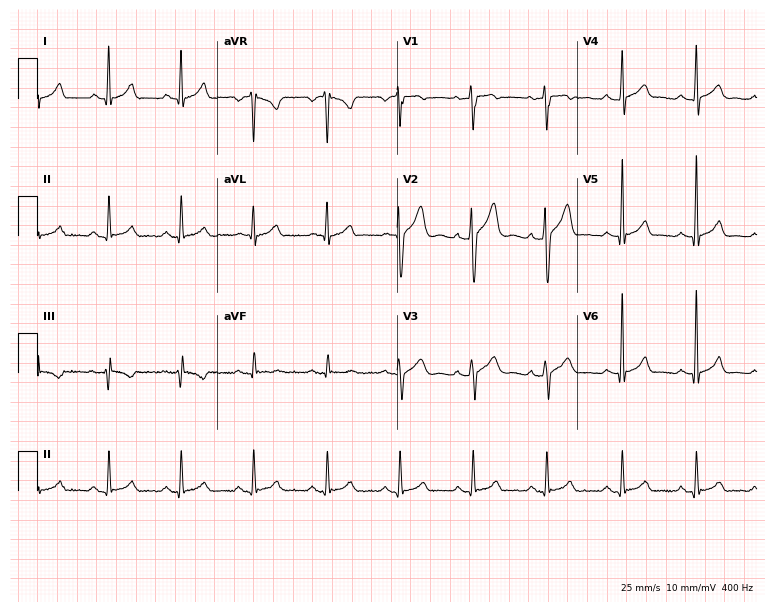
ECG (7.3-second recording at 400 Hz) — a male, 32 years old. Labelled as a normal ECG.